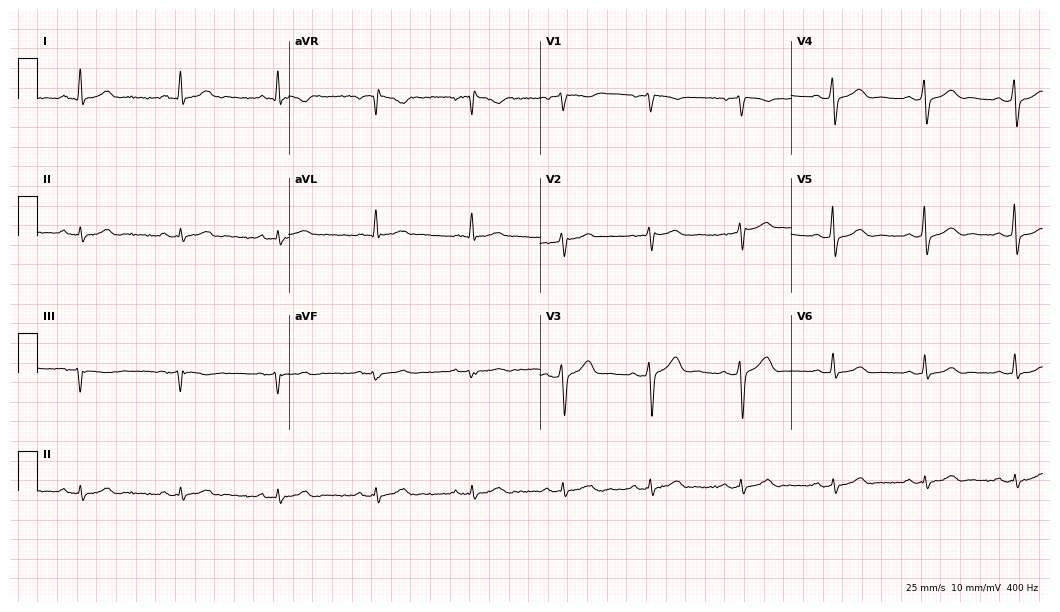
Resting 12-lead electrocardiogram. Patient: a 45-year-old female. Read as a normal ECG.